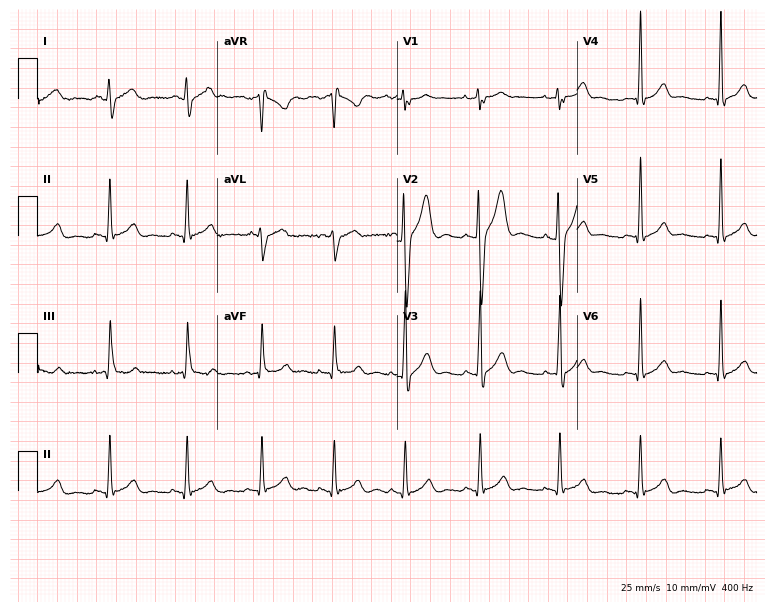
12-lead ECG from a man, 31 years old. No first-degree AV block, right bundle branch block (RBBB), left bundle branch block (LBBB), sinus bradycardia, atrial fibrillation (AF) or sinus tachycardia recorded for this tracing. Findings outside these six are not listed.